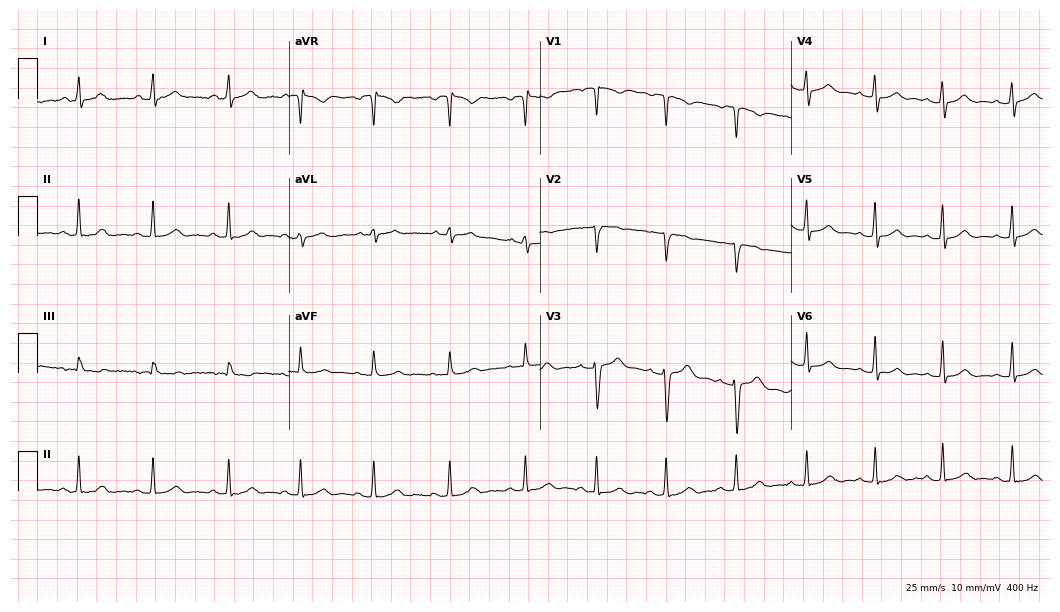
12-lead ECG from a 24-year-old female patient. Recorded interpretation: within normal limits.